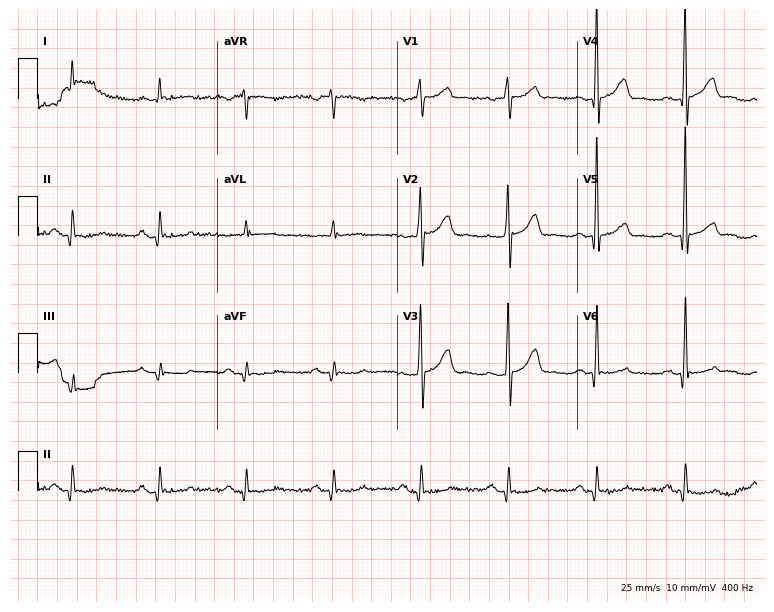
Standard 12-lead ECG recorded from a man, 74 years old (7.3-second recording at 400 Hz). None of these six findings is recorded: first-degree AV block, right bundle branch block, left bundle branch block, sinus bradycardia, atrial fibrillation, sinus tachycardia.